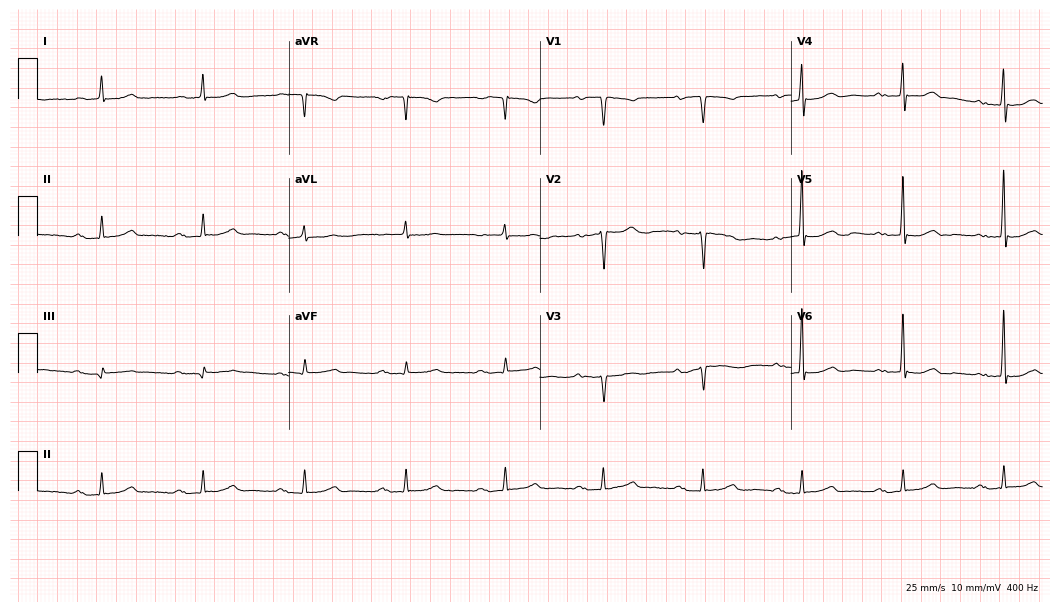
ECG (10.2-second recording at 400 Hz) — a female, 79 years old. Findings include first-degree AV block.